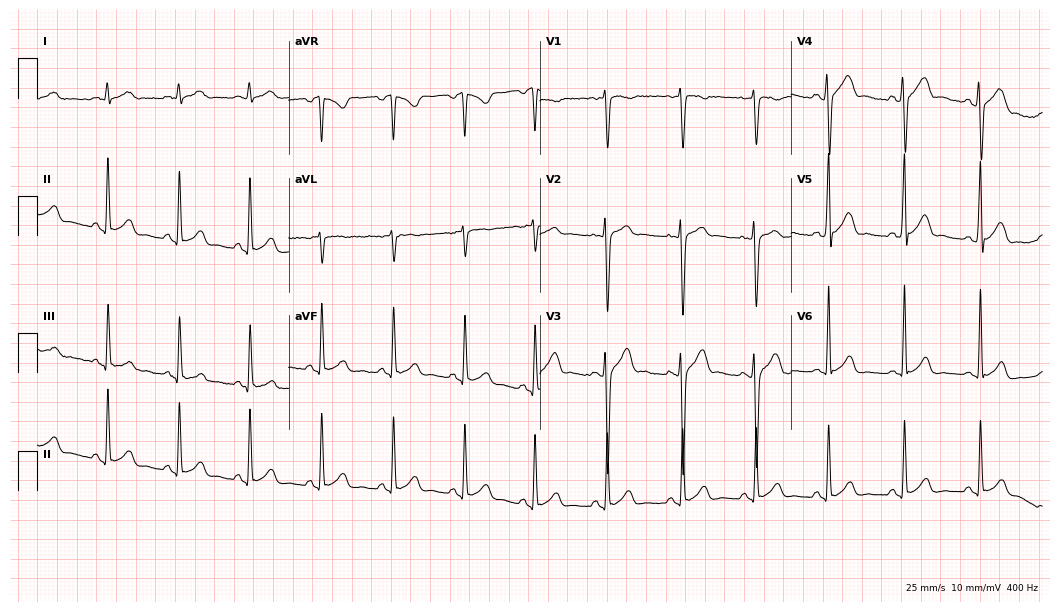
12-lead ECG from a male patient, 21 years old. No first-degree AV block, right bundle branch block, left bundle branch block, sinus bradycardia, atrial fibrillation or sinus tachycardia recorded for this tracing. Only these six findings were labelled.